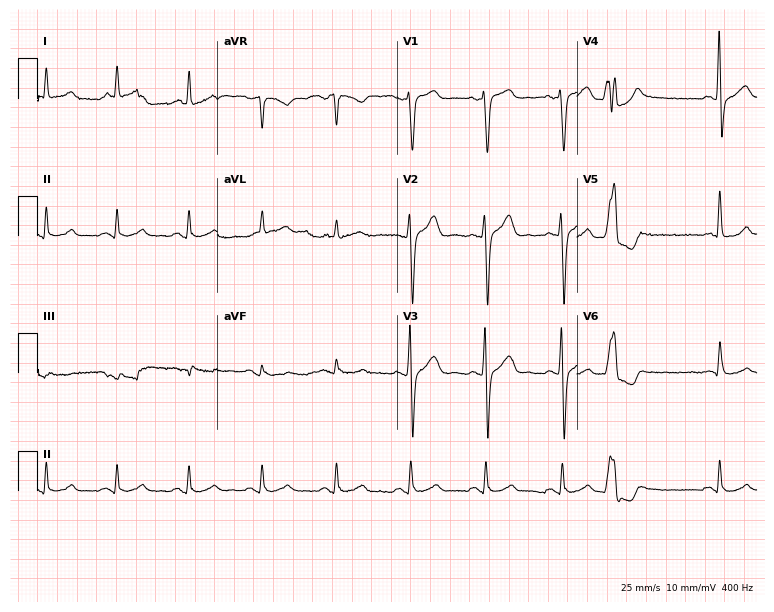
12-lead ECG from a 59-year-old male patient. No first-degree AV block, right bundle branch block, left bundle branch block, sinus bradycardia, atrial fibrillation or sinus tachycardia recorded for this tracing. Findings outside these six are not listed.